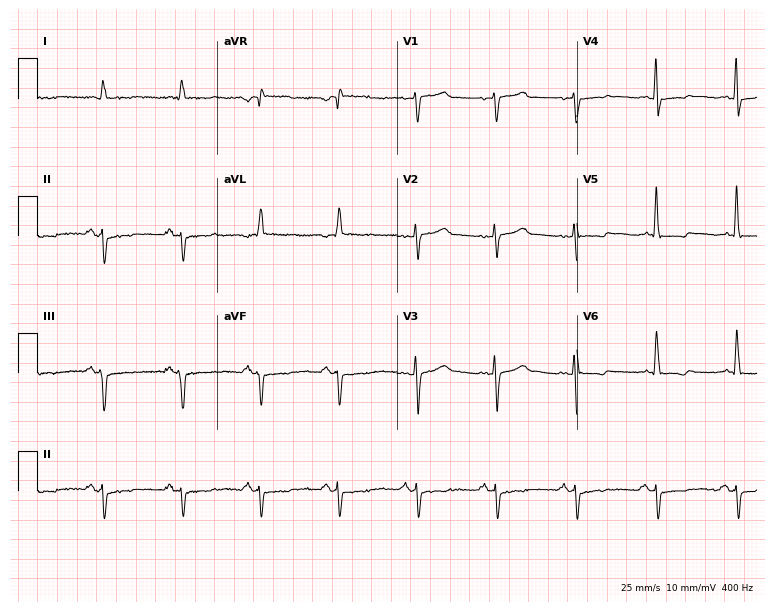
Electrocardiogram (7.3-second recording at 400 Hz), a 72-year-old male. Of the six screened findings (first-degree AV block, right bundle branch block (RBBB), left bundle branch block (LBBB), sinus bradycardia, atrial fibrillation (AF), sinus tachycardia), none is recorded. Other findings, if any, are not listed.